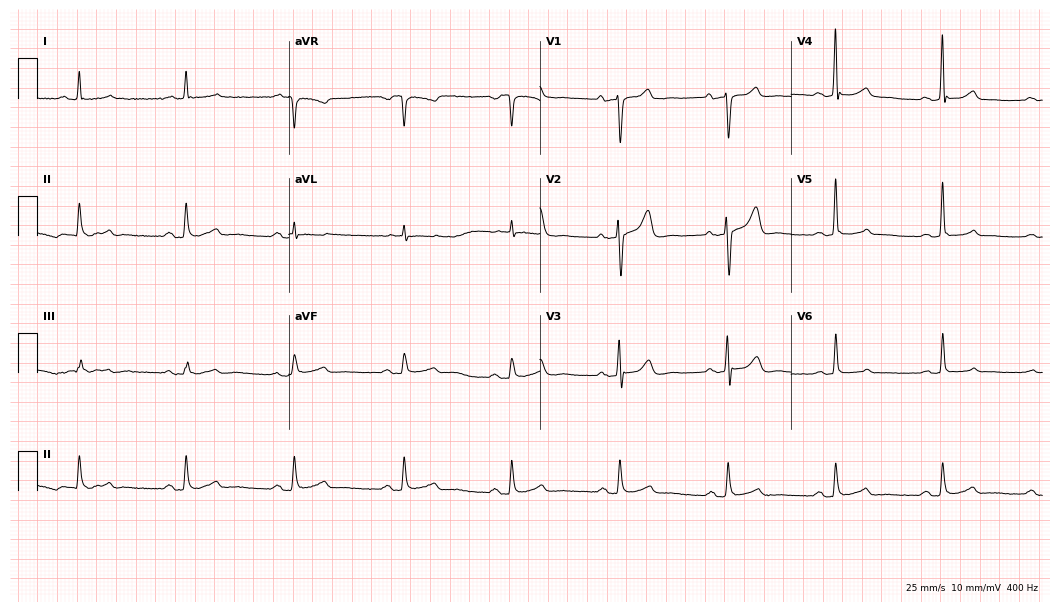
ECG — a 69-year-old man. Labelled as a normal ECG.